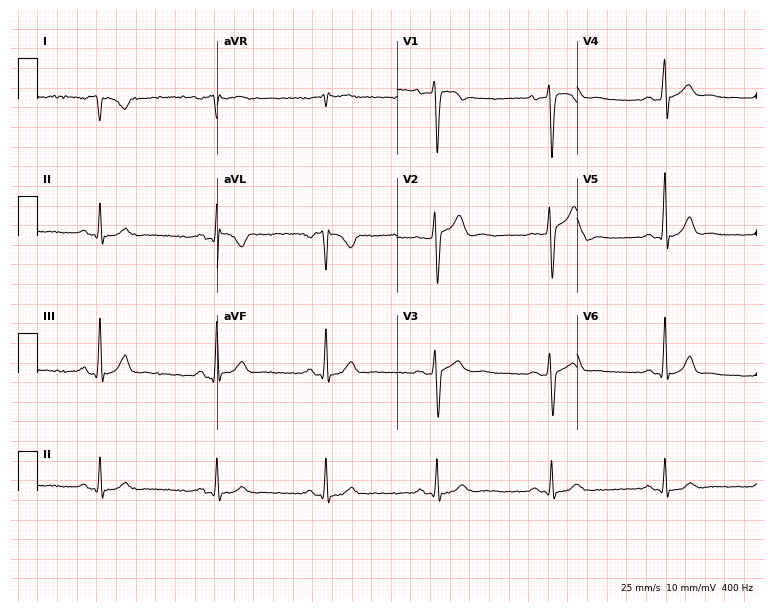
ECG (7.3-second recording at 400 Hz) — a 26-year-old male. Screened for six findings — first-degree AV block, right bundle branch block, left bundle branch block, sinus bradycardia, atrial fibrillation, sinus tachycardia — none is recorded.